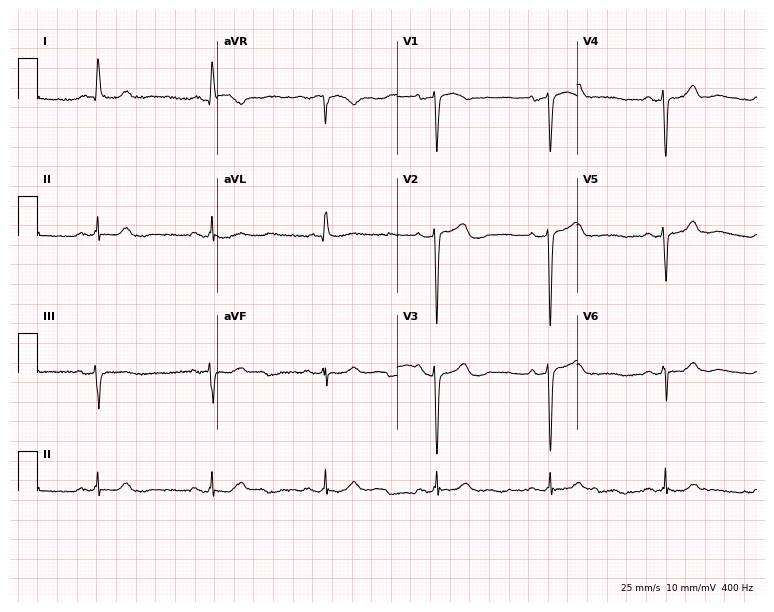
Standard 12-lead ECG recorded from a female, 81 years old. None of these six findings is recorded: first-degree AV block, right bundle branch block (RBBB), left bundle branch block (LBBB), sinus bradycardia, atrial fibrillation (AF), sinus tachycardia. Other findings, if any, are not listed.